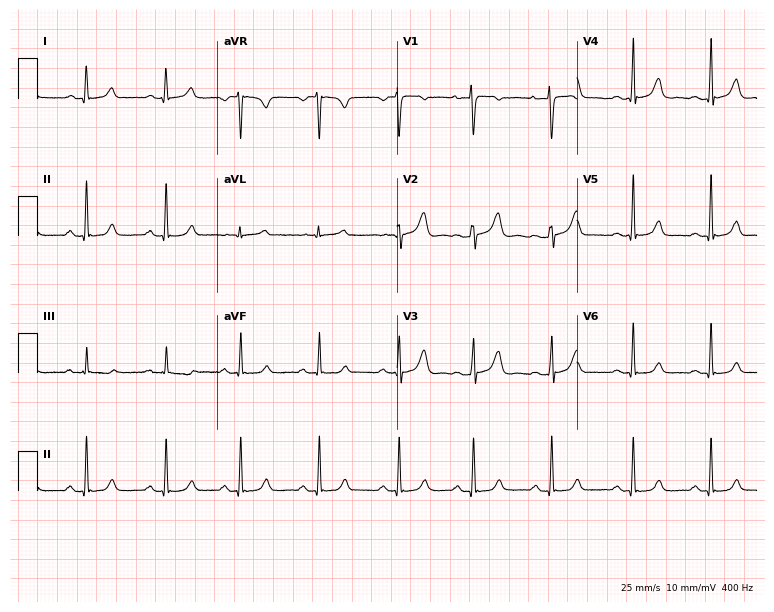
ECG — a woman, 34 years old. Labelled as a normal ECG.